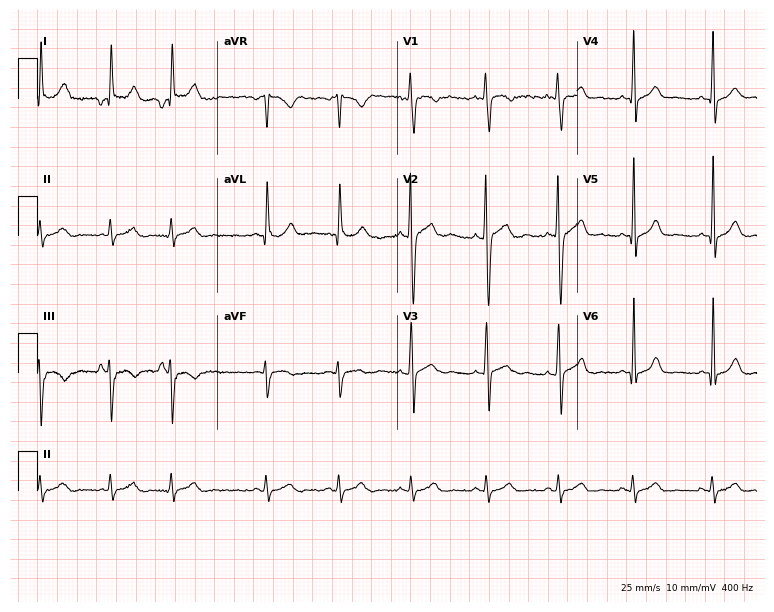
Standard 12-lead ECG recorded from a 20-year-old man. None of these six findings is recorded: first-degree AV block, right bundle branch block, left bundle branch block, sinus bradycardia, atrial fibrillation, sinus tachycardia. Only these six findings were labelled.